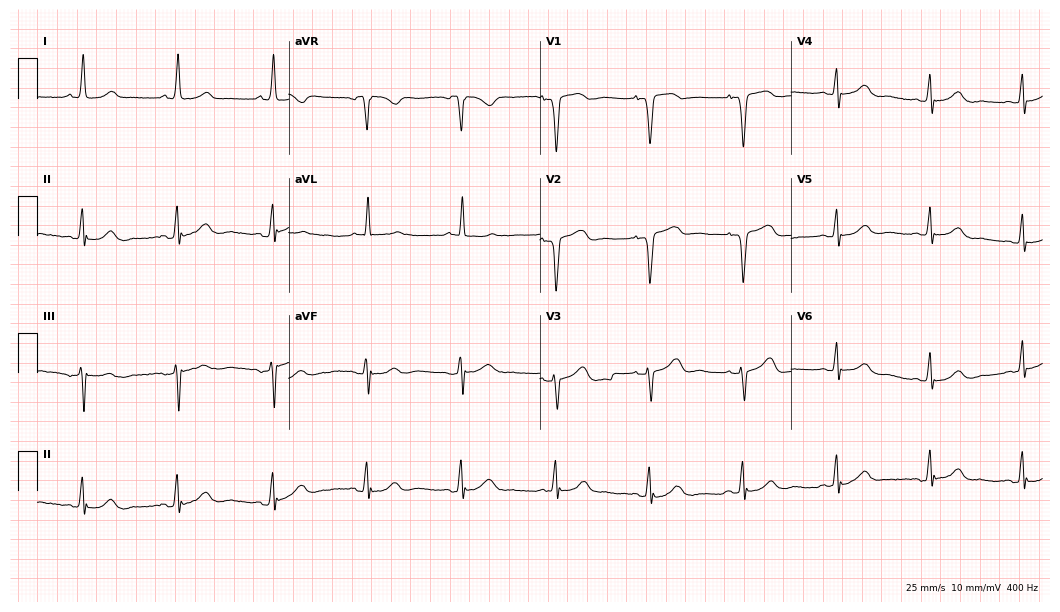
Electrocardiogram (10.2-second recording at 400 Hz), a 79-year-old female. Of the six screened findings (first-degree AV block, right bundle branch block (RBBB), left bundle branch block (LBBB), sinus bradycardia, atrial fibrillation (AF), sinus tachycardia), none is recorded. Other findings, if any, are not listed.